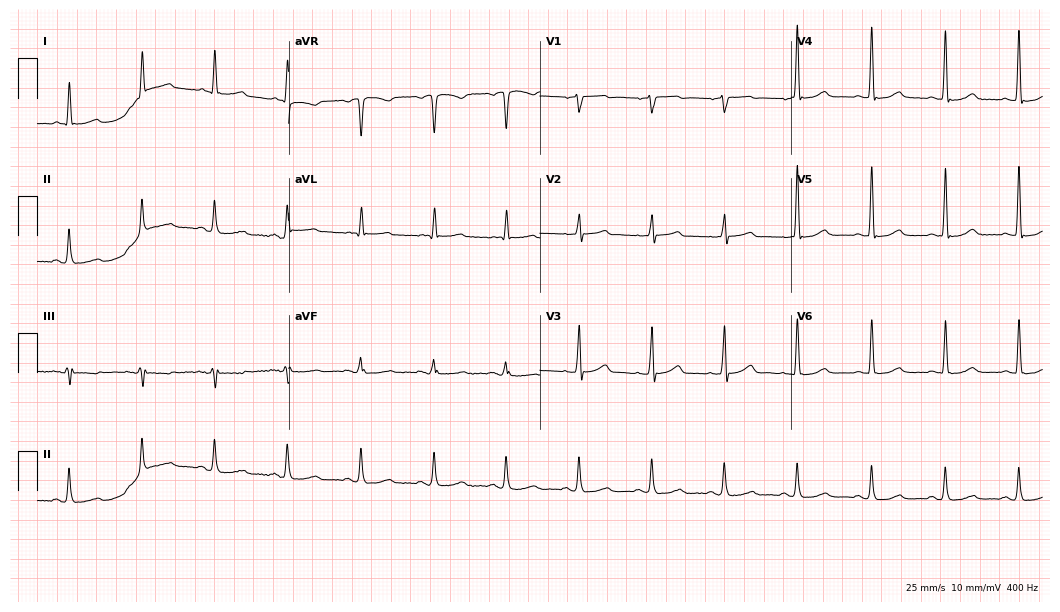
ECG (10.2-second recording at 400 Hz) — a male patient, 82 years old. Screened for six findings — first-degree AV block, right bundle branch block (RBBB), left bundle branch block (LBBB), sinus bradycardia, atrial fibrillation (AF), sinus tachycardia — none is recorded. Other findings, if any, are not listed.